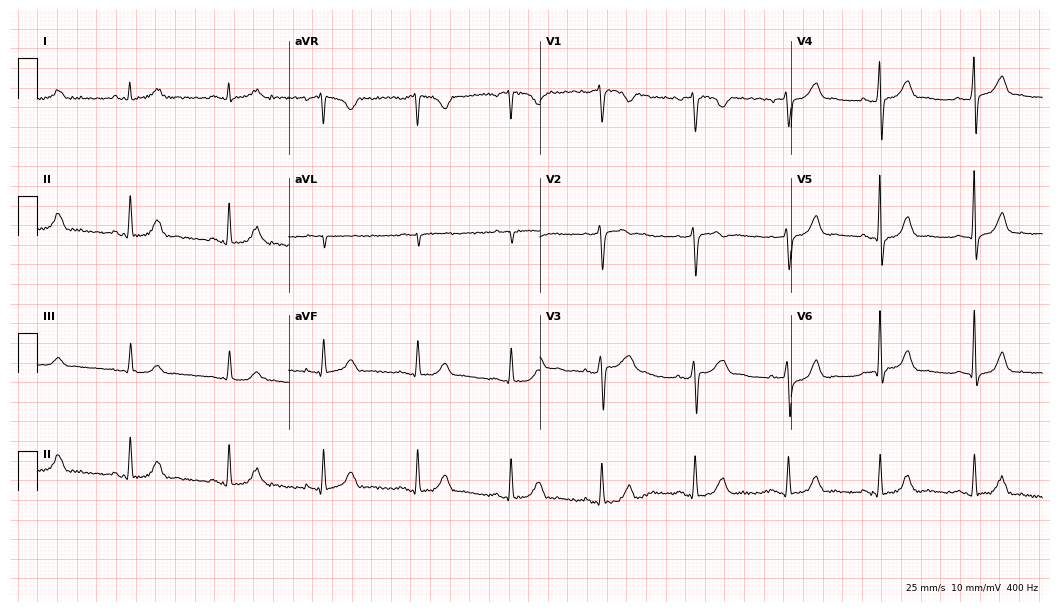
Electrocardiogram (10.2-second recording at 400 Hz), a male, 50 years old. Overall reading on record: normal ECG.